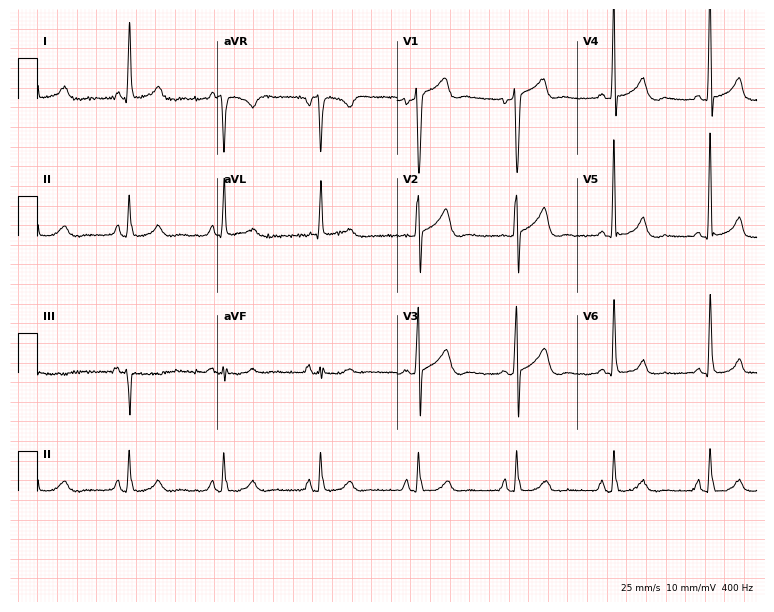
Standard 12-lead ECG recorded from a male patient, 56 years old (7.3-second recording at 400 Hz). None of these six findings is recorded: first-degree AV block, right bundle branch block, left bundle branch block, sinus bradycardia, atrial fibrillation, sinus tachycardia.